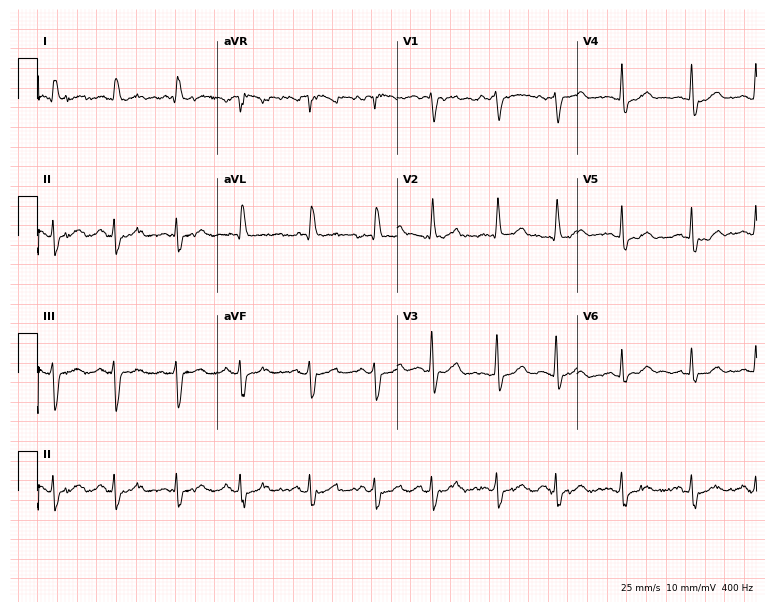
12-lead ECG from an 83-year-old male (7.3-second recording at 400 Hz). No first-degree AV block, right bundle branch block (RBBB), left bundle branch block (LBBB), sinus bradycardia, atrial fibrillation (AF) or sinus tachycardia recorded for this tracing. Other findings, if any, are not listed.